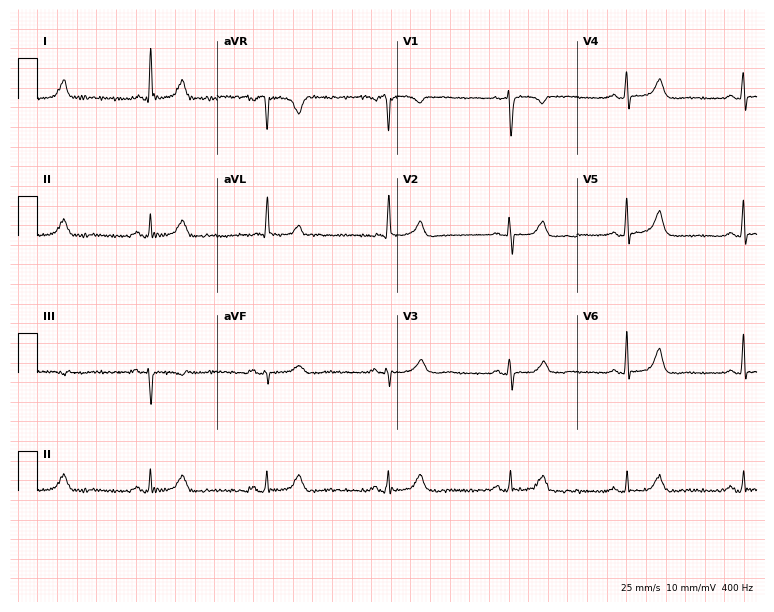
12-lead ECG from a male patient, 76 years old. Recorded interpretation: within normal limits.